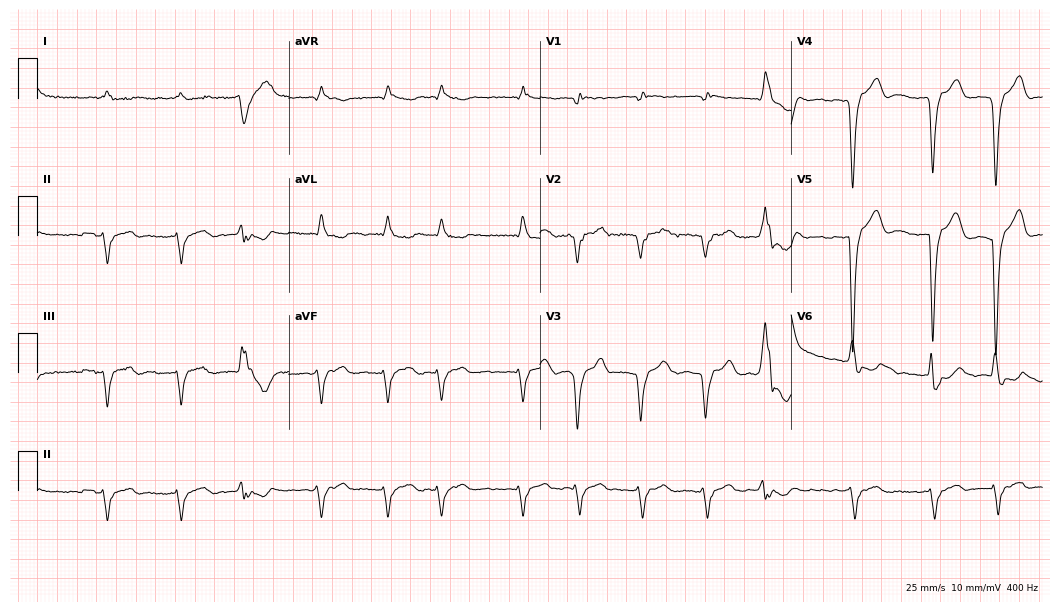
ECG (10.2-second recording at 400 Hz) — an 84-year-old man. Findings include atrial fibrillation.